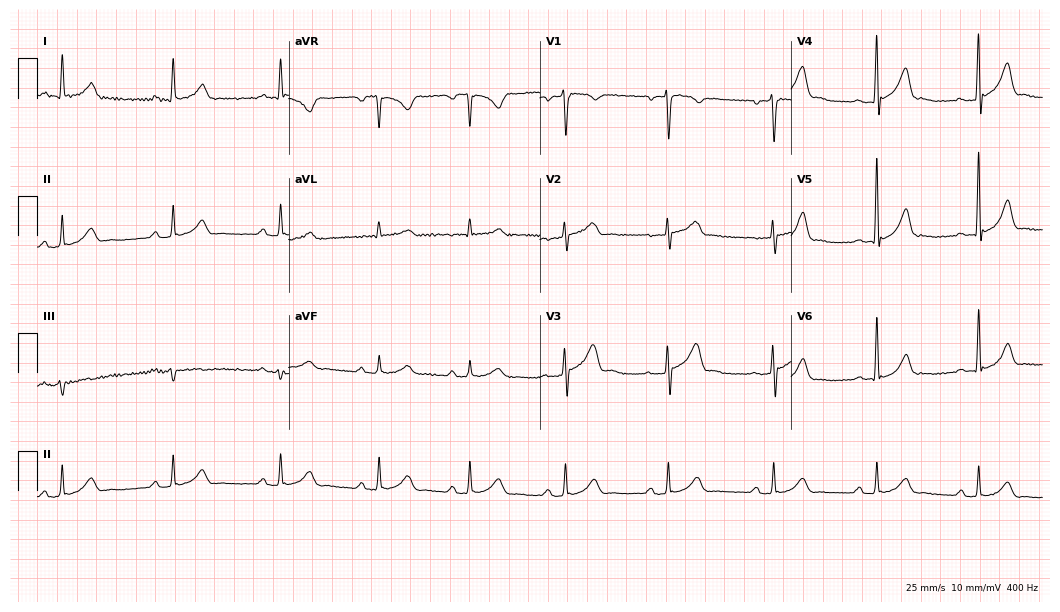
Standard 12-lead ECG recorded from a male, 44 years old (10.2-second recording at 400 Hz). The tracing shows first-degree AV block.